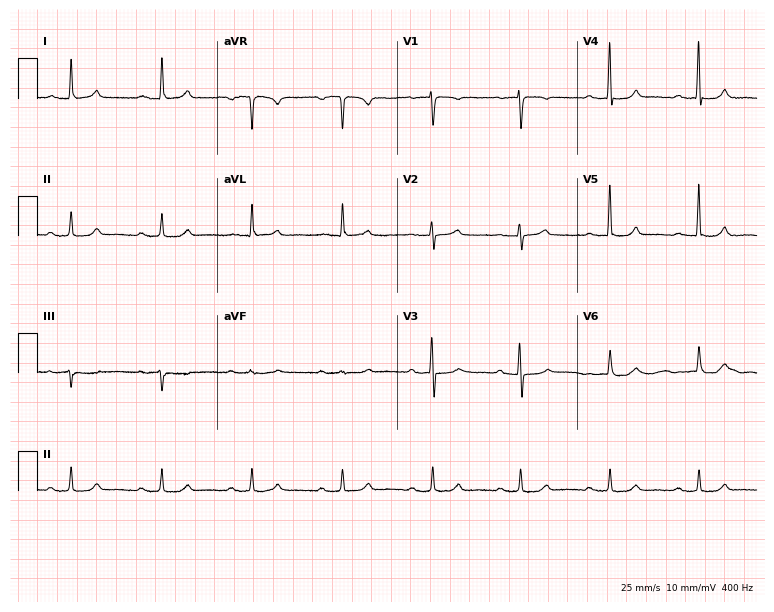
Resting 12-lead electrocardiogram (7.3-second recording at 400 Hz). Patient: a female, 75 years old. The tracing shows first-degree AV block.